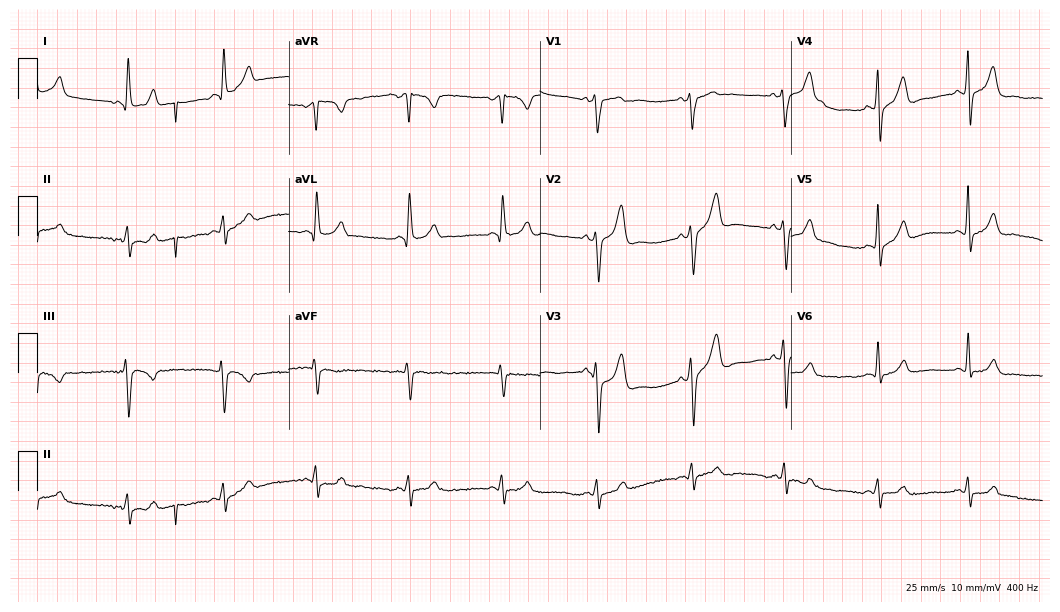
ECG (10.2-second recording at 400 Hz) — a male, 53 years old. Labelled as a normal ECG.